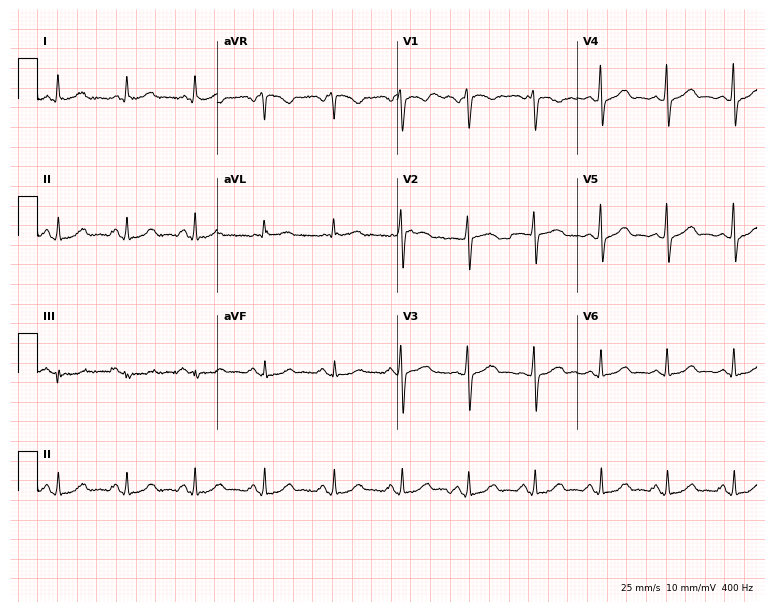
Electrocardiogram, a woman, 46 years old. Overall reading on record: normal ECG.